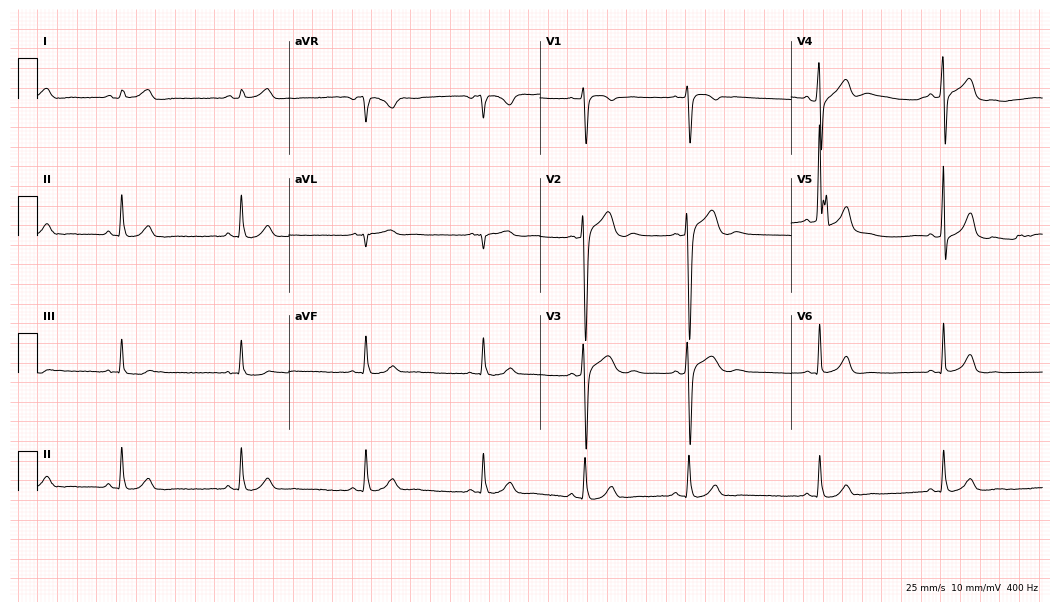
Electrocardiogram (10.2-second recording at 400 Hz), a man, 39 years old. Of the six screened findings (first-degree AV block, right bundle branch block, left bundle branch block, sinus bradycardia, atrial fibrillation, sinus tachycardia), none is recorded.